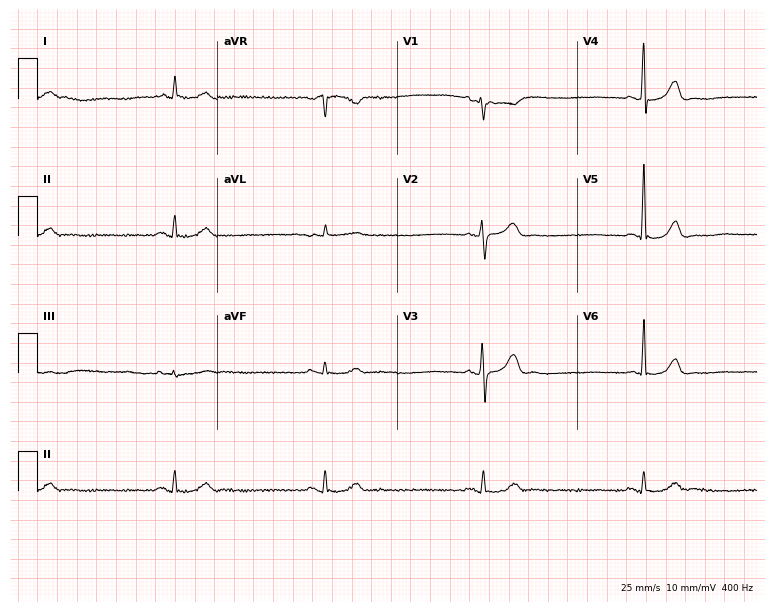
Standard 12-lead ECG recorded from a male patient, 74 years old. The tracing shows sinus bradycardia (a sinus rate of 50 beats per minute or less).